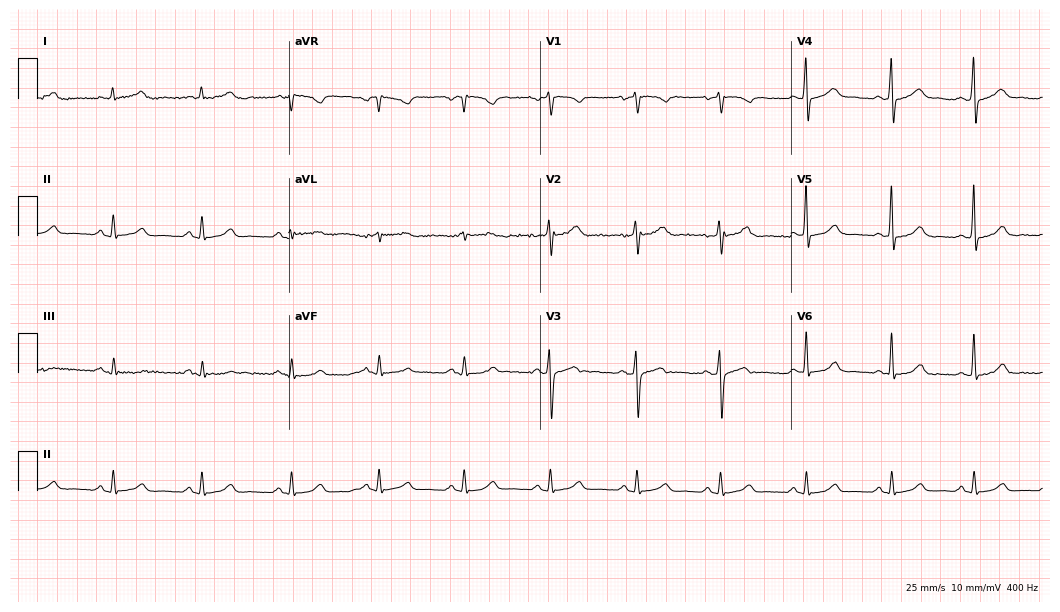
12-lead ECG from a 37-year-old female patient (10.2-second recording at 400 Hz). Recorded interpretation: within normal limits.